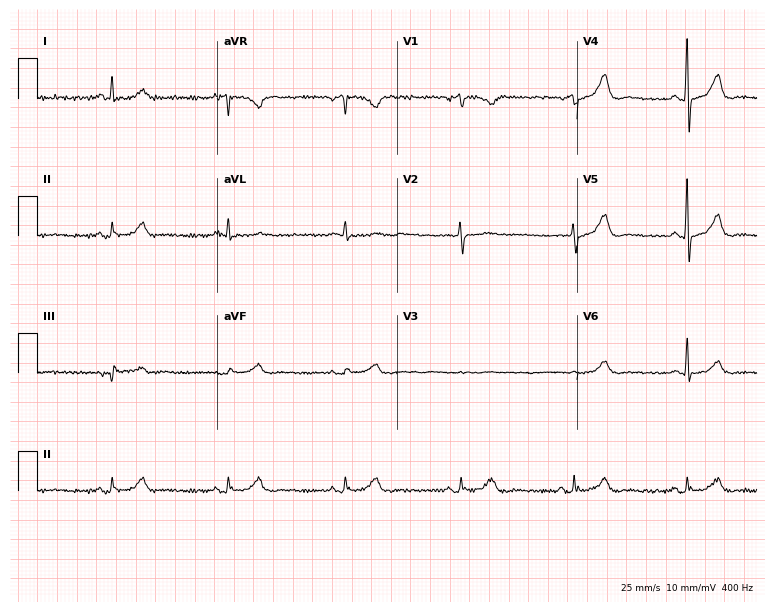
Standard 12-lead ECG recorded from a man, 72 years old (7.3-second recording at 400 Hz). None of these six findings is recorded: first-degree AV block, right bundle branch block, left bundle branch block, sinus bradycardia, atrial fibrillation, sinus tachycardia.